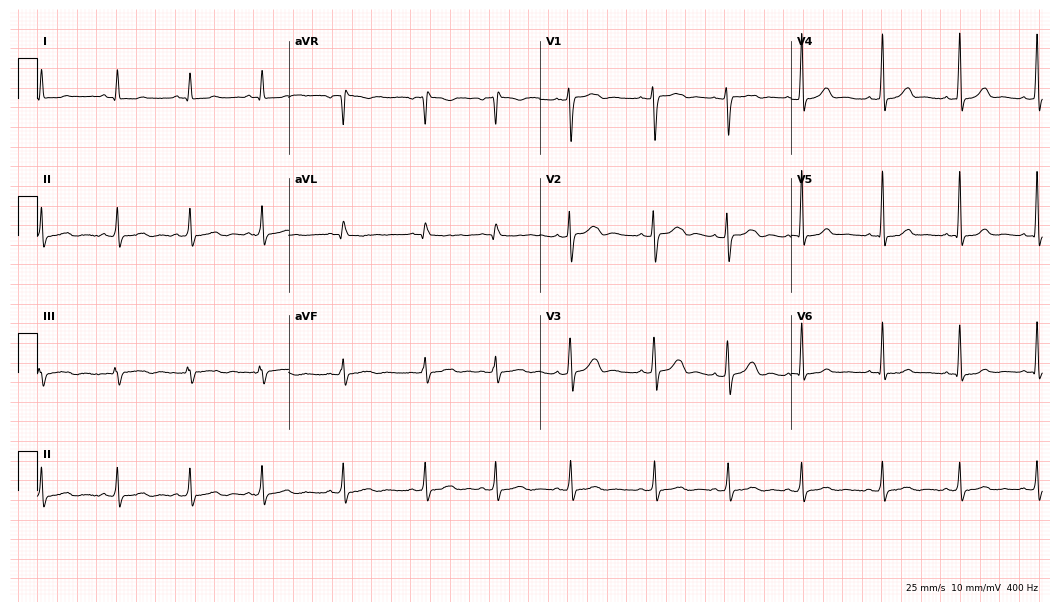
ECG (10.2-second recording at 400 Hz) — a 19-year-old female patient. Labelled as a normal ECG.